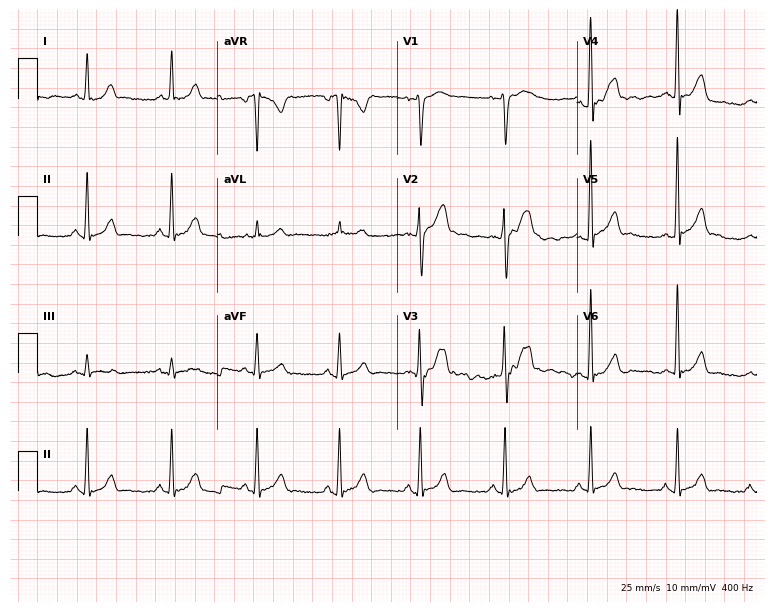
Resting 12-lead electrocardiogram. Patient: a male, 41 years old. None of these six findings is recorded: first-degree AV block, right bundle branch block, left bundle branch block, sinus bradycardia, atrial fibrillation, sinus tachycardia.